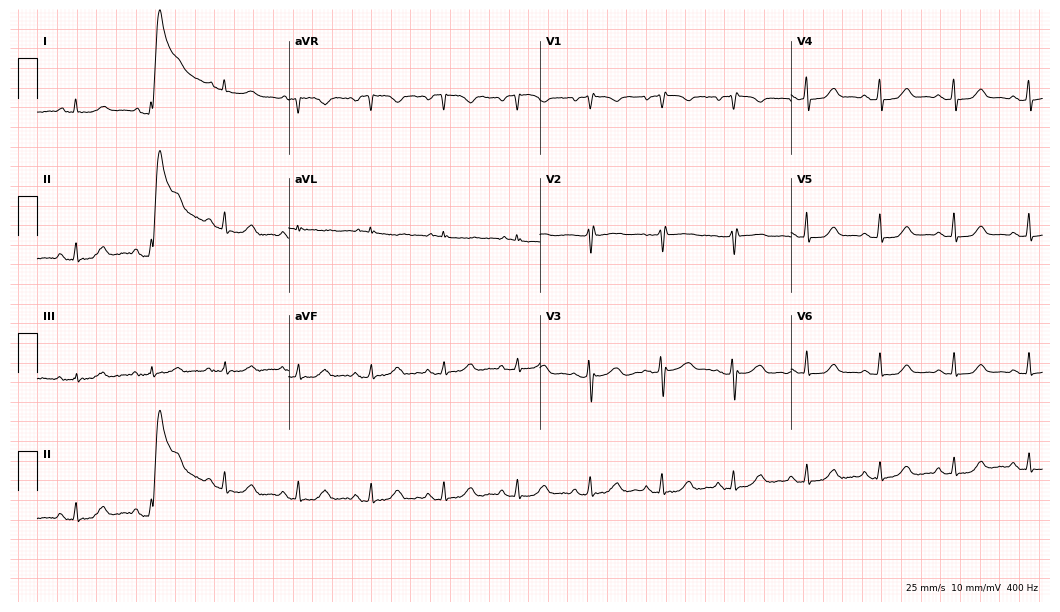
12-lead ECG from a female, 81 years old. Recorded interpretation: within normal limits.